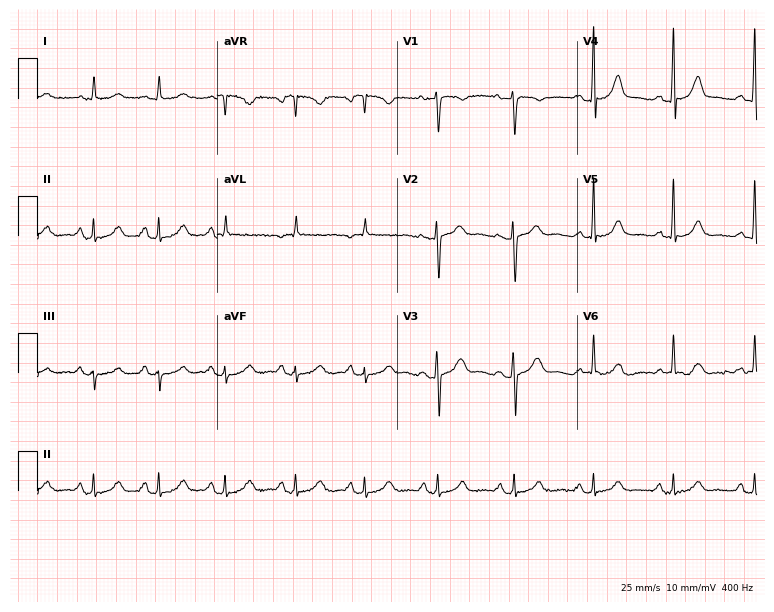
ECG — a 53-year-old female. Screened for six findings — first-degree AV block, right bundle branch block (RBBB), left bundle branch block (LBBB), sinus bradycardia, atrial fibrillation (AF), sinus tachycardia — none is recorded.